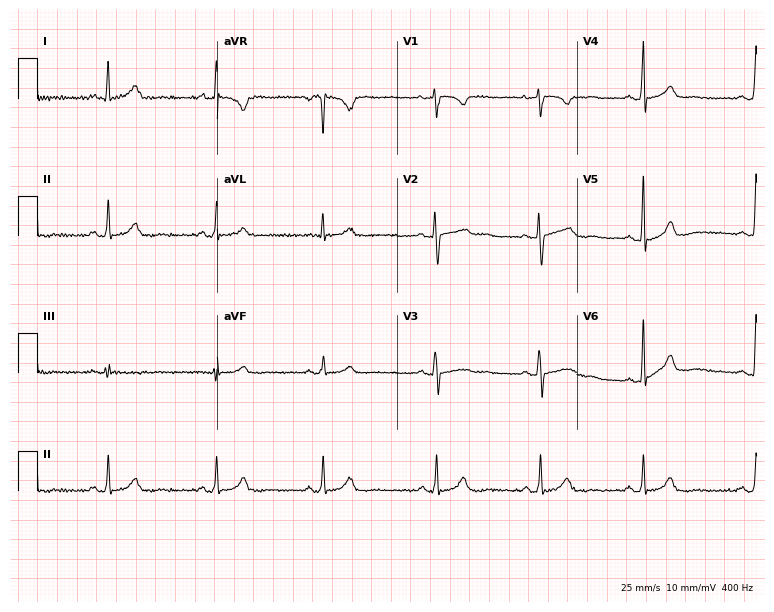
Standard 12-lead ECG recorded from a female, 41 years old. Read as a normal ECG.